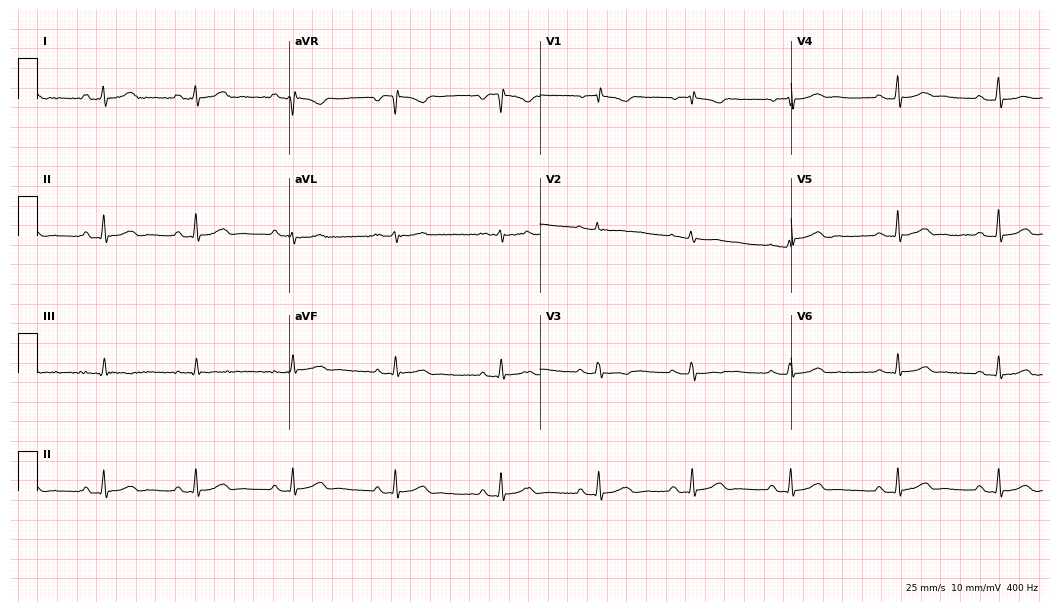
Resting 12-lead electrocardiogram. Patient: a female, 43 years old. None of these six findings is recorded: first-degree AV block, right bundle branch block, left bundle branch block, sinus bradycardia, atrial fibrillation, sinus tachycardia.